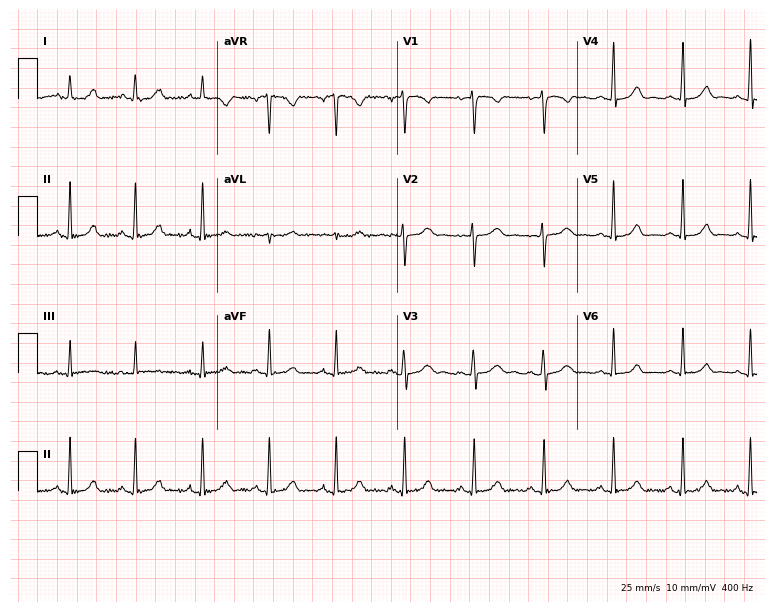
12-lead ECG from a 30-year-old woman. Labelled as a normal ECG.